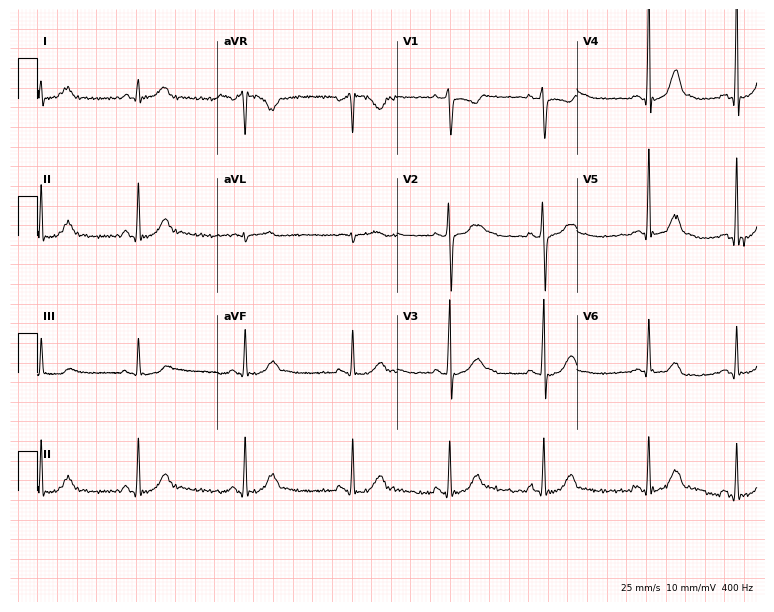
Standard 12-lead ECG recorded from a woman, 30 years old. Read as a normal ECG.